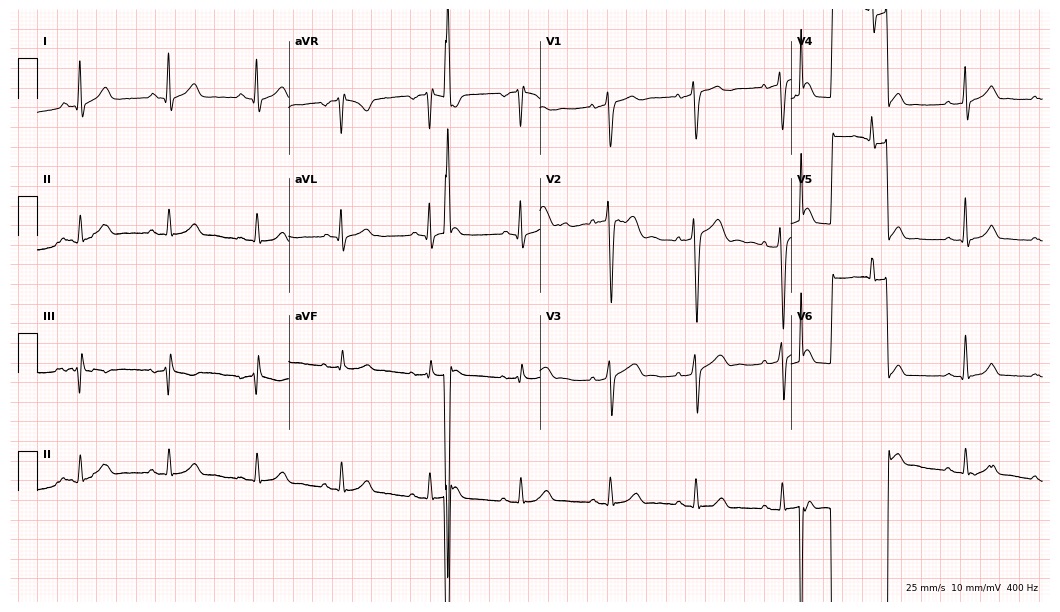
Electrocardiogram, a 35-year-old male patient. Of the six screened findings (first-degree AV block, right bundle branch block, left bundle branch block, sinus bradycardia, atrial fibrillation, sinus tachycardia), none is recorded.